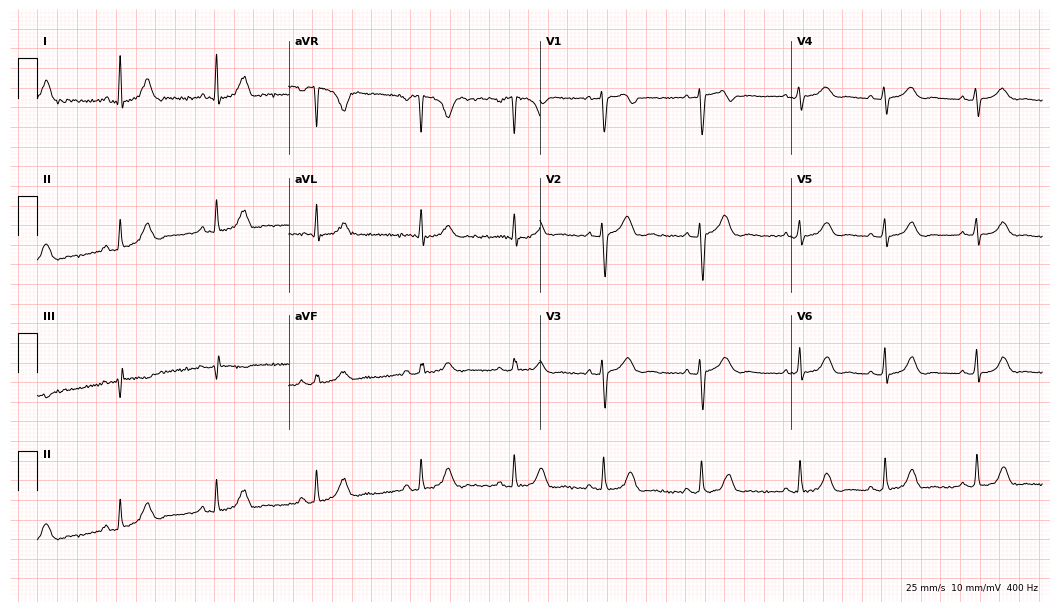
ECG — a 39-year-old female. Labelled as a normal ECG.